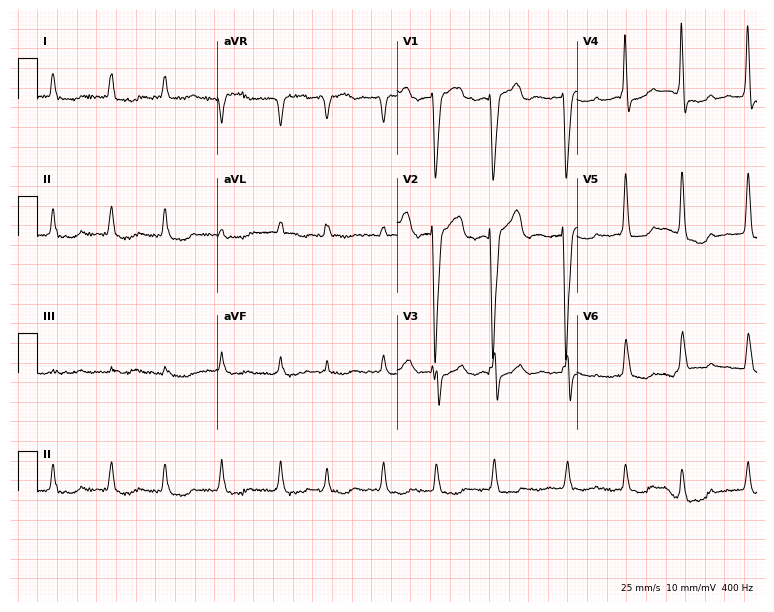
ECG (7.3-second recording at 400 Hz) — an 84-year-old female patient. Findings include atrial fibrillation.